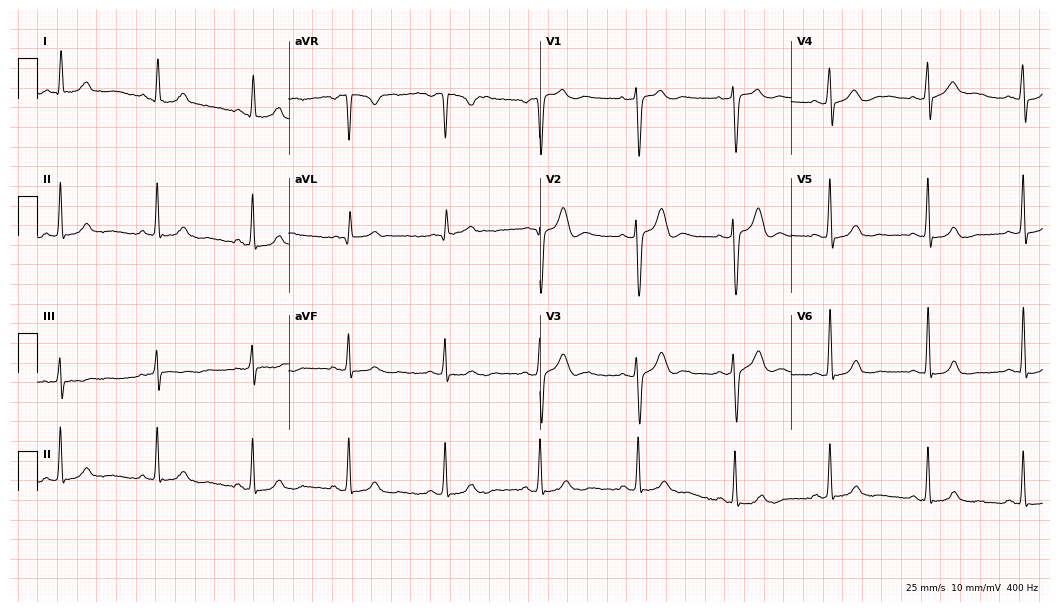
ECG (10.2-second recording at 400 Hz) — a 27-year-old male patient. Labelled as a normal ECG.